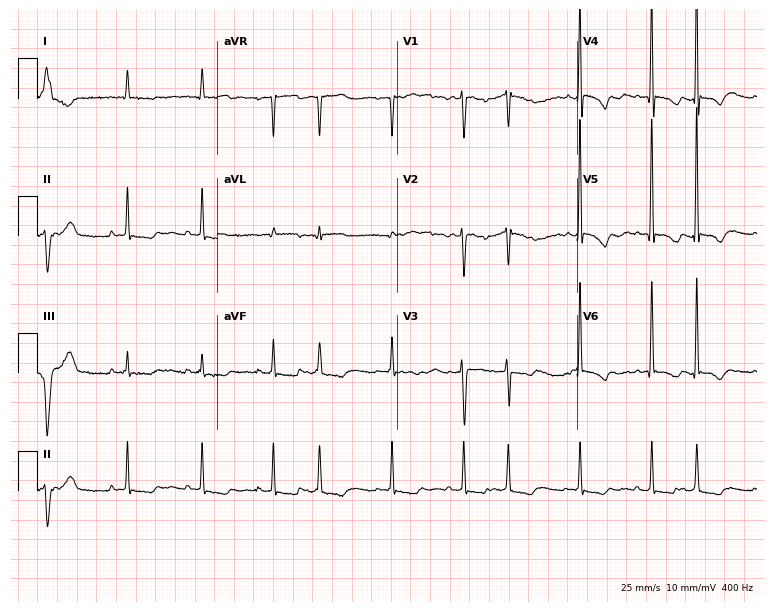
Electrocardiogram (7.3-second recording at 400 Hz), a female patient, 71 years old. Overall reading on record: normal ECG.